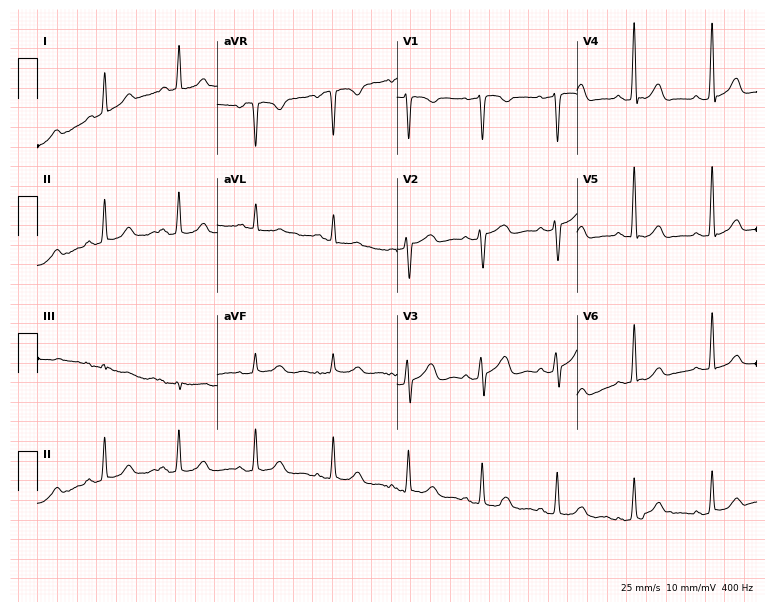
ECG — a 41-year-old female. Screened for six findings — first-degree AV block, right bundle branch block, left bundle branch block, sinus bradycardia, atrial fibrillation, sinus tachycardia — none is recorded. Other findings, if any, are not listed.